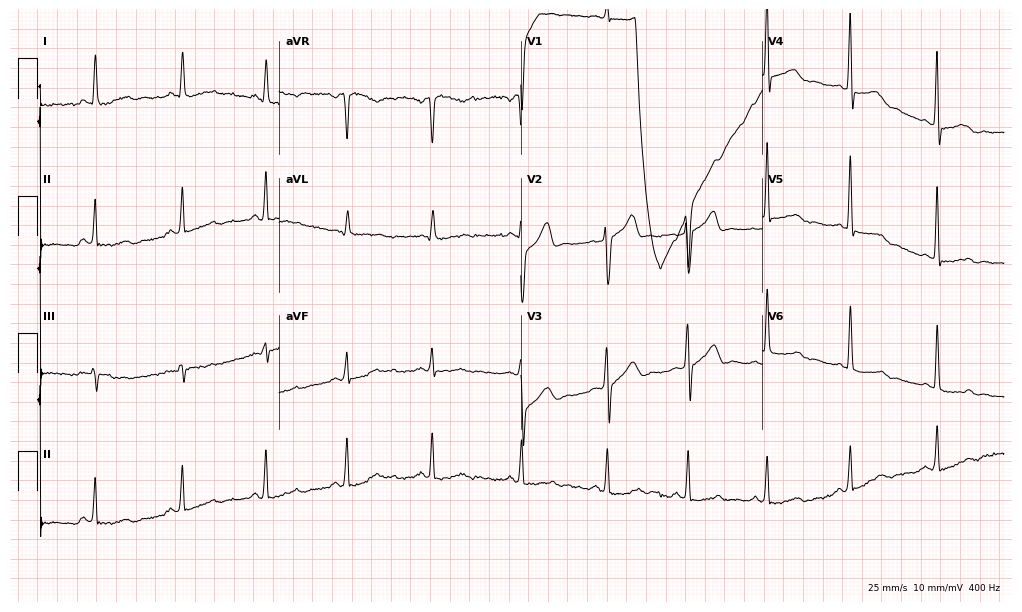
ECG (9.9-second recording at 400 Hz) — a male patient, 48 years old. Screened for six findings — first-degree AV block, right bundle branch block (RBBB), left bundle branch block (LBBB), sinus bradycardia, atrial fibrillation (AF), sinus tachycardia — none is recorded.